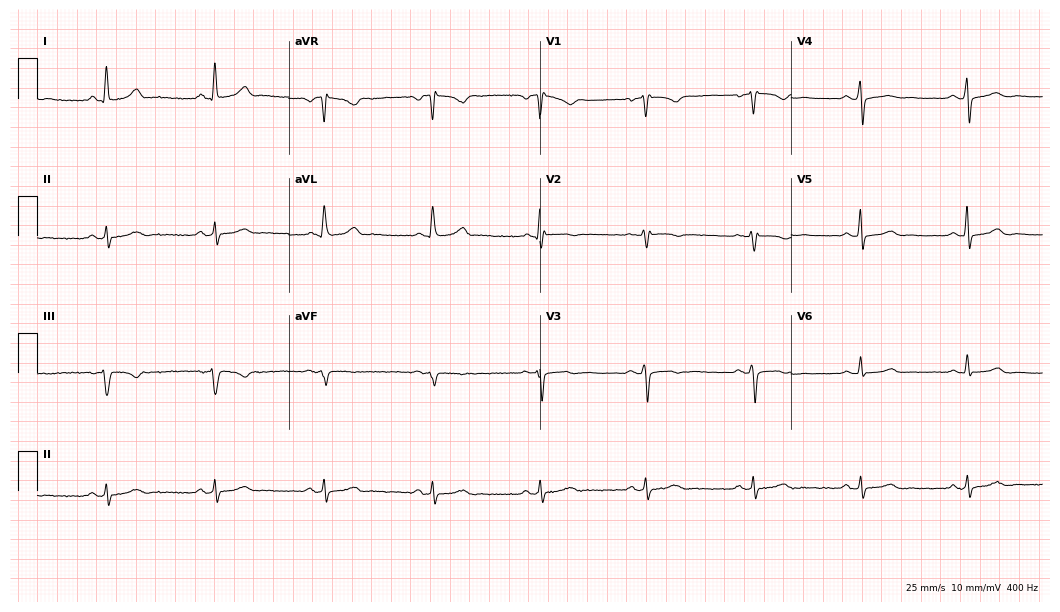
Resting 12-lead electrocardiogram. Patient: a 60-year-old female. Read as a normal ECG.